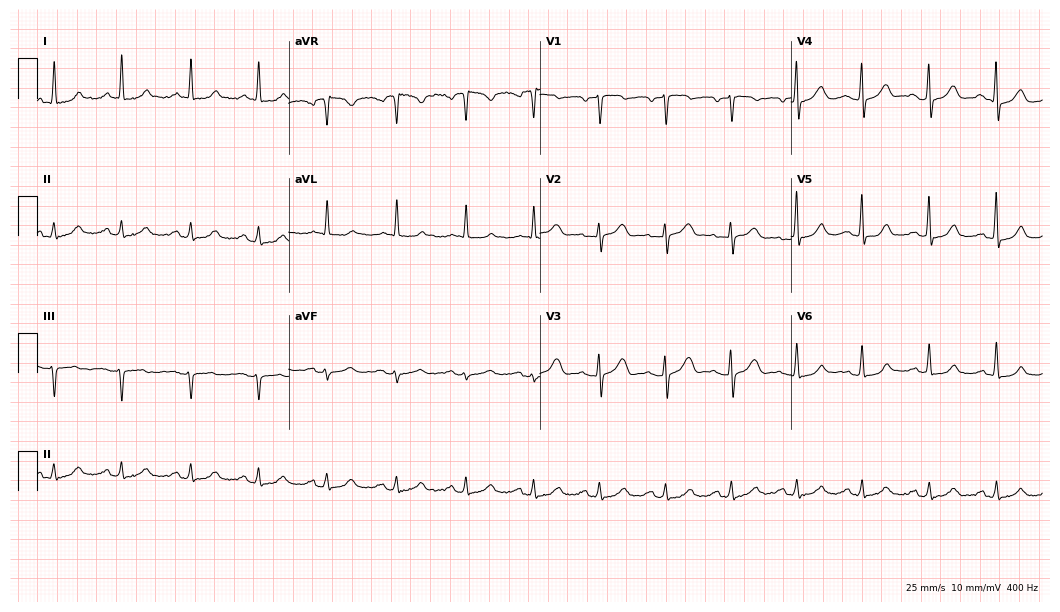
12-lead ECG from a male, 69 years old. Screened for six findings — first-degree AV block, right bundle branch block (RBBB), left bundle branch block (LBBB), sinus bradycardia, atrial fibrillation (AF), sinus tachycardia — none is recorded.